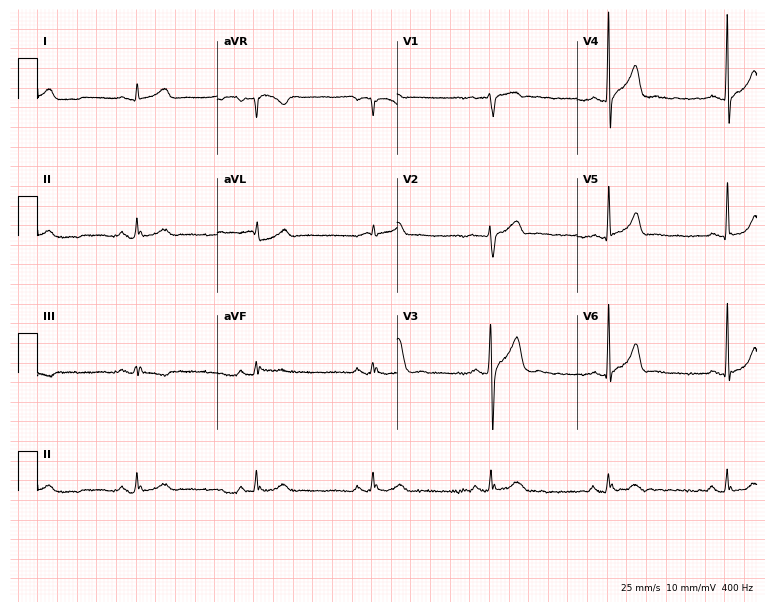
Electrocardiogram (7.3-second recording at 400 Hz), a male patient, 36 years old. Overall reading on record: normal ECG.